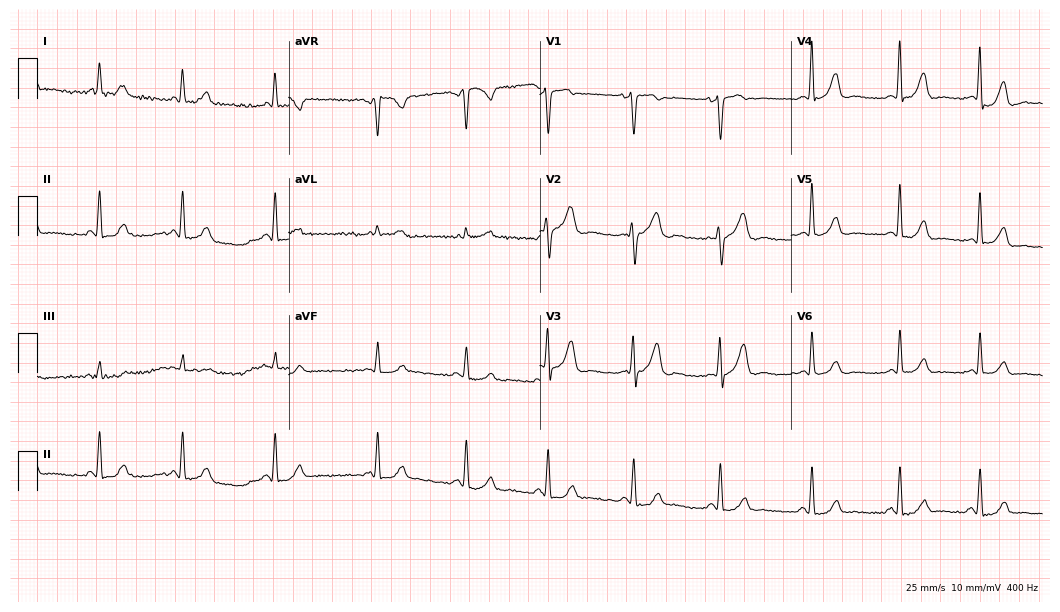
12-lead ECG from a woman, 37 years old. Labelled as a normal ECG.